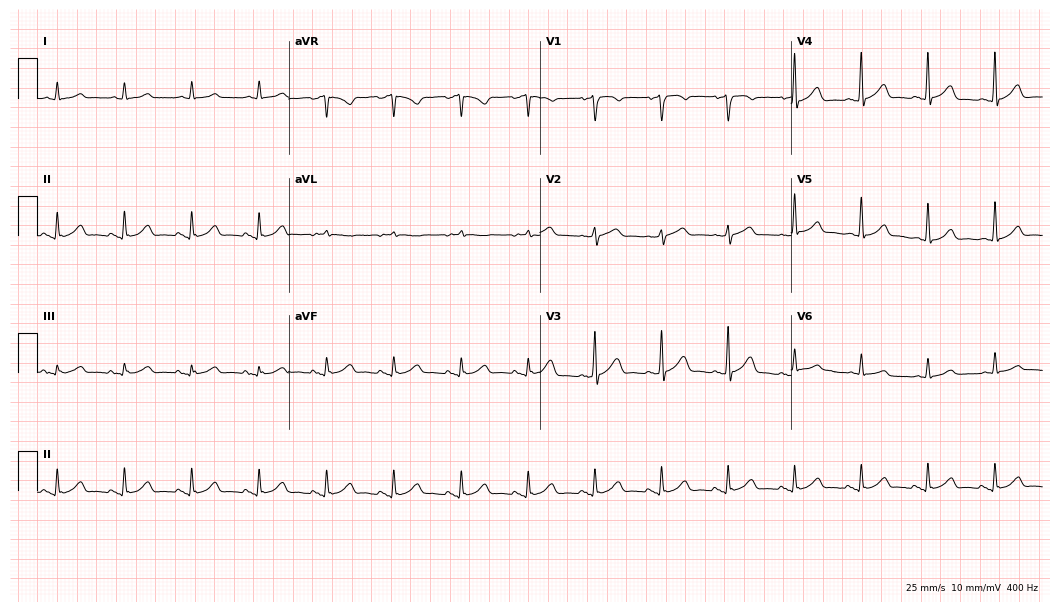
12-lead ECG (10.2-second recording at 400 Hz) from a 65-year-old man. Labelled as a normal ECG.